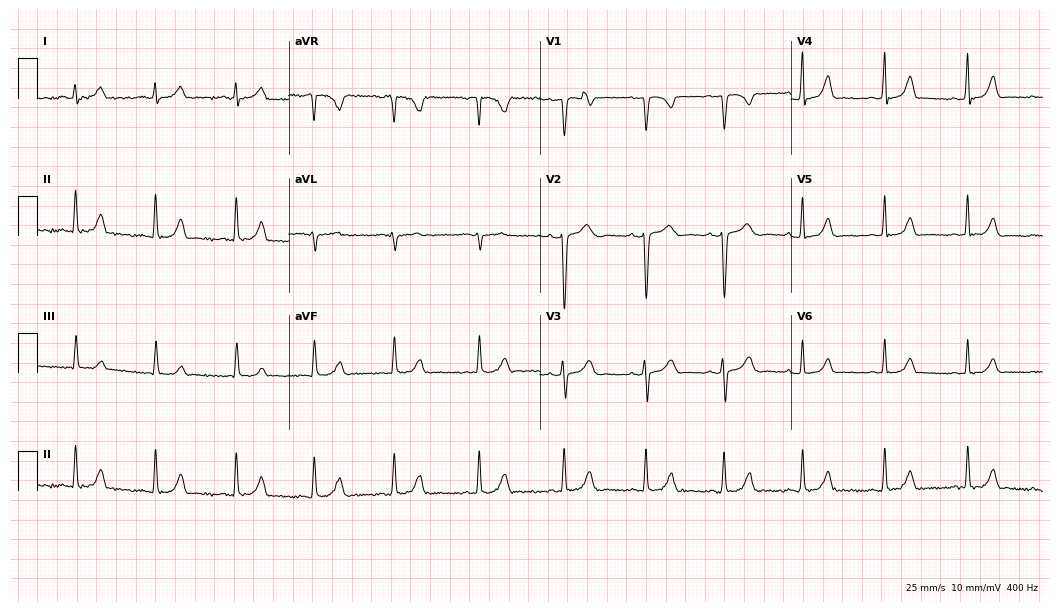
Standard 12-lead ECG recorded from a 24-year-old female patient (10.2-second recording at 400 Hz). Read as a normal ECG.